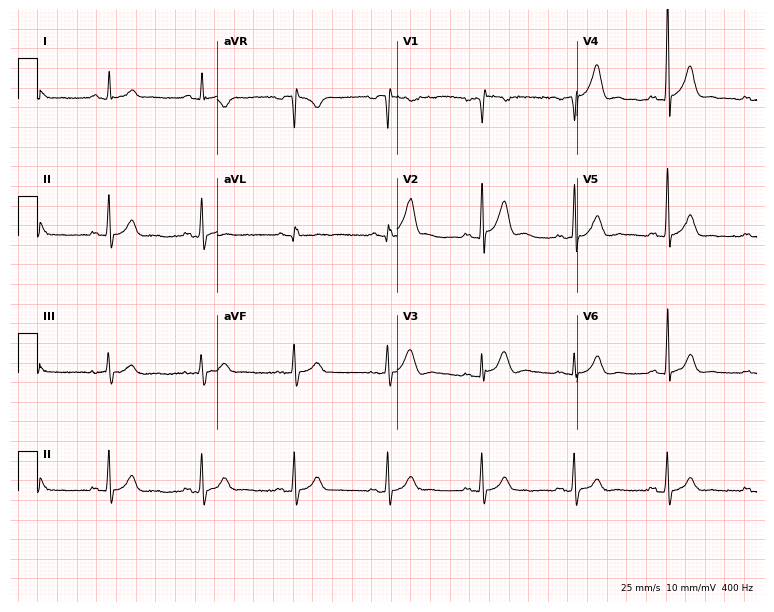
ECG — a man, 44 years old. Labelled as a normal ECG.